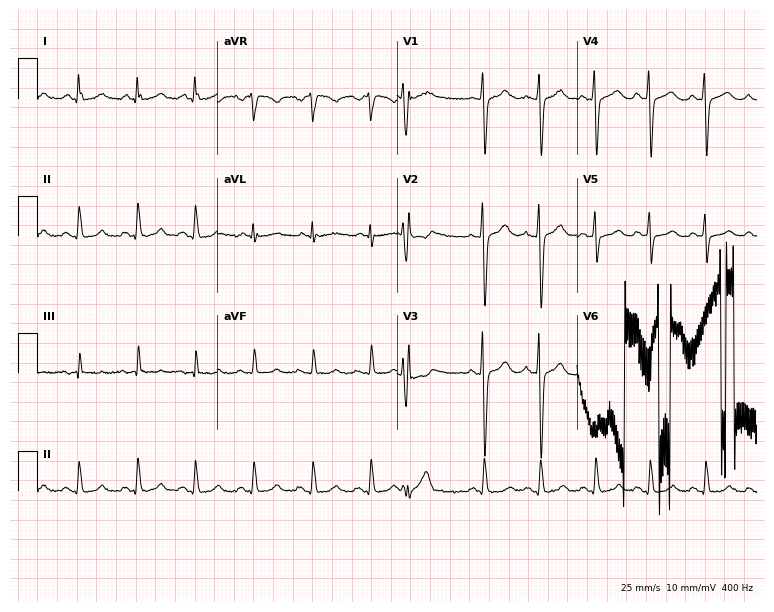
12-lead ECG from a female patient, 41 years old. Shows sinus tachycardia (a sinus rate of 100 beats per minute or more).